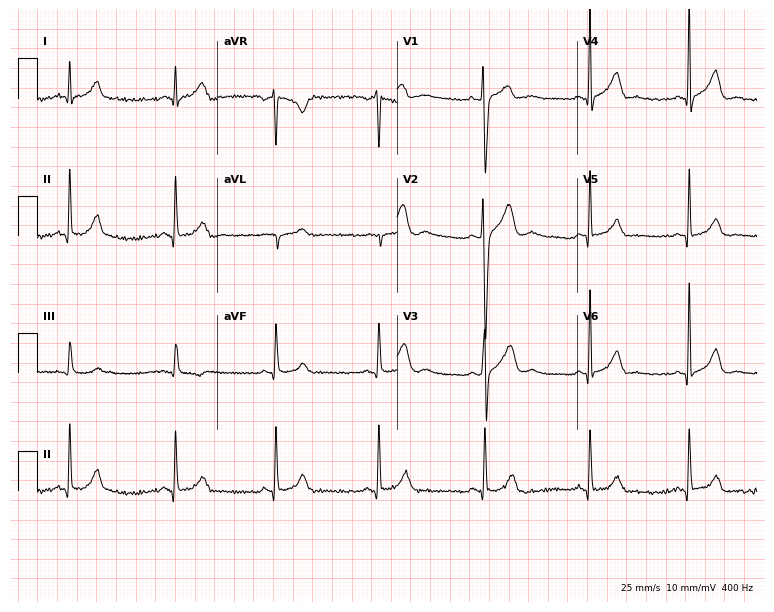
Resting 12-lead electrocardiogram. Patient: a male, 28 years old. None of these six findings is recorded: first-degree AV block, right bundle branch block (RBBB), left bundle branch block (LBBB), sinus bradycardia, atrial fibrillation (AF), sinus tachycardia.